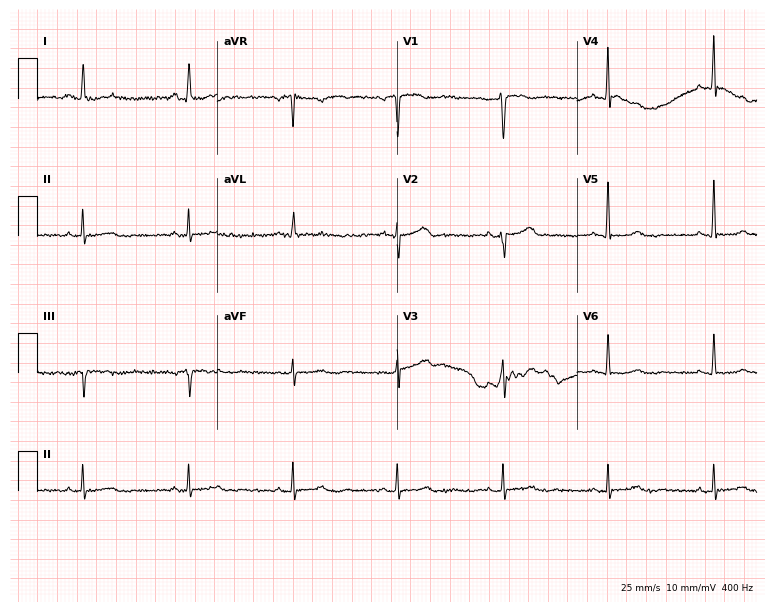
12-lead ECG from a 69-year-old woman (7.3-second recording at 400 Hz). No first-degree AV block, right bundle branch block (RBBB), left bundle branch block (LBBB), sinus bradycardia, atrial fibrillation (AF) or sinus tachycardia recorded for this tracing. Only these six findings were labelled.